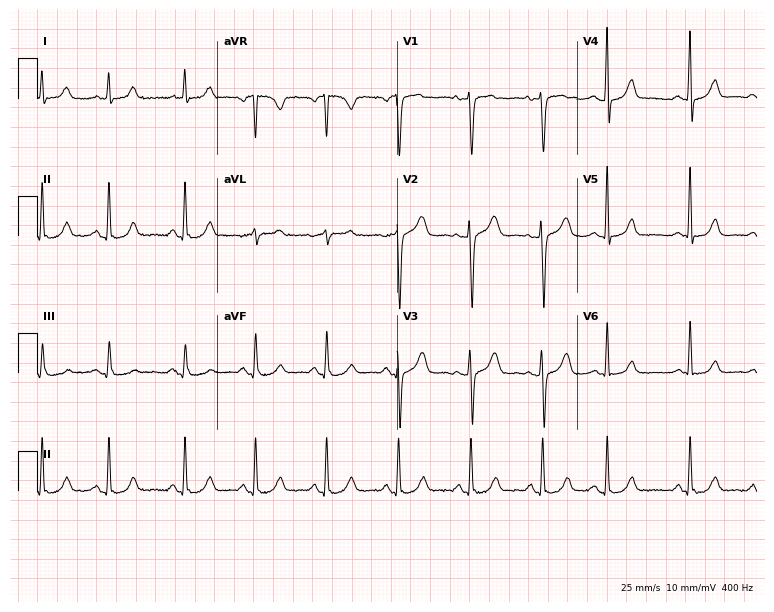
Standard 12-lead ECG recorded from a woman, 57 years old (7.3-second recording at 400 Hz). Read as a normal ECG.